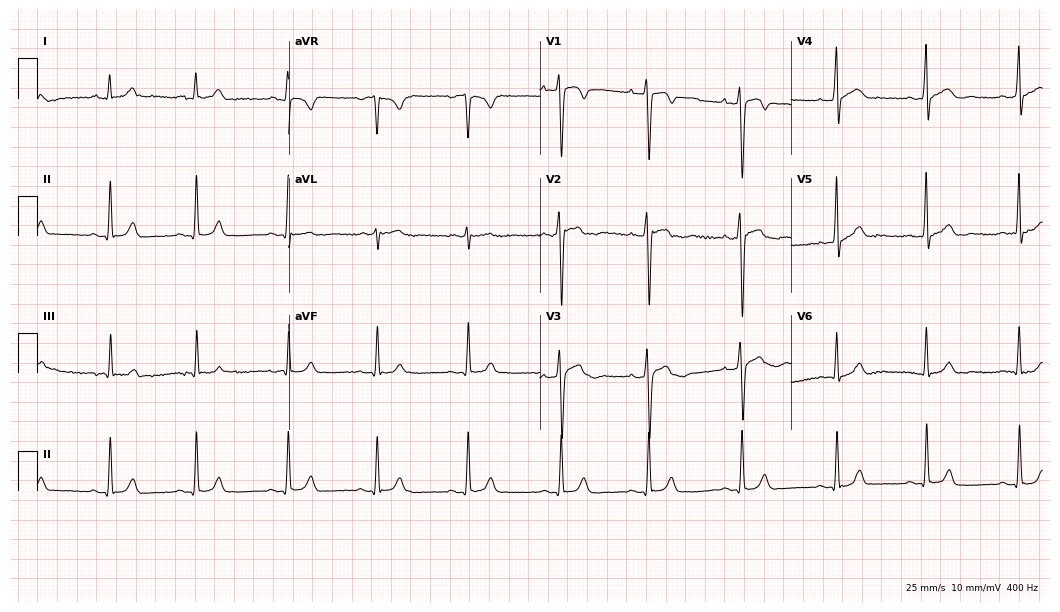
Resting 12-lead electrocardiogram (10.2-second recording at 400 Hz). Patient: a 22-year-old female. Read as a normal ECG.